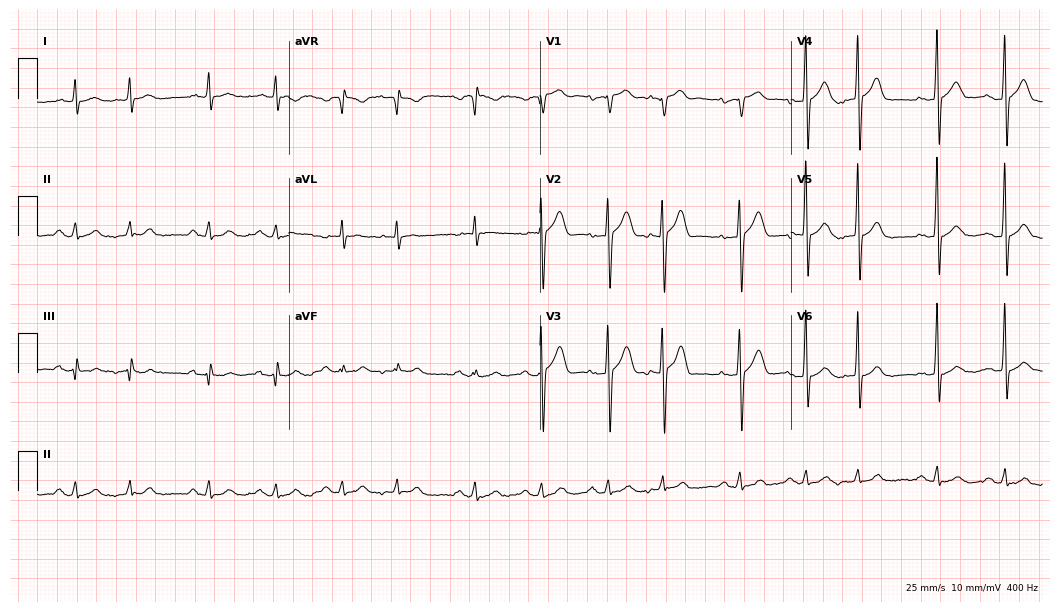
12-lead ECG from a 66-year-old man. Screened for six findings — first-degree AV block, right bundle branch block (RBBB), left bundle branch block (LBBB), sinus bradycardia, atrial fibrillation (AF), sinus tachycardia — none is recorded. Findings outside these six are not listed.